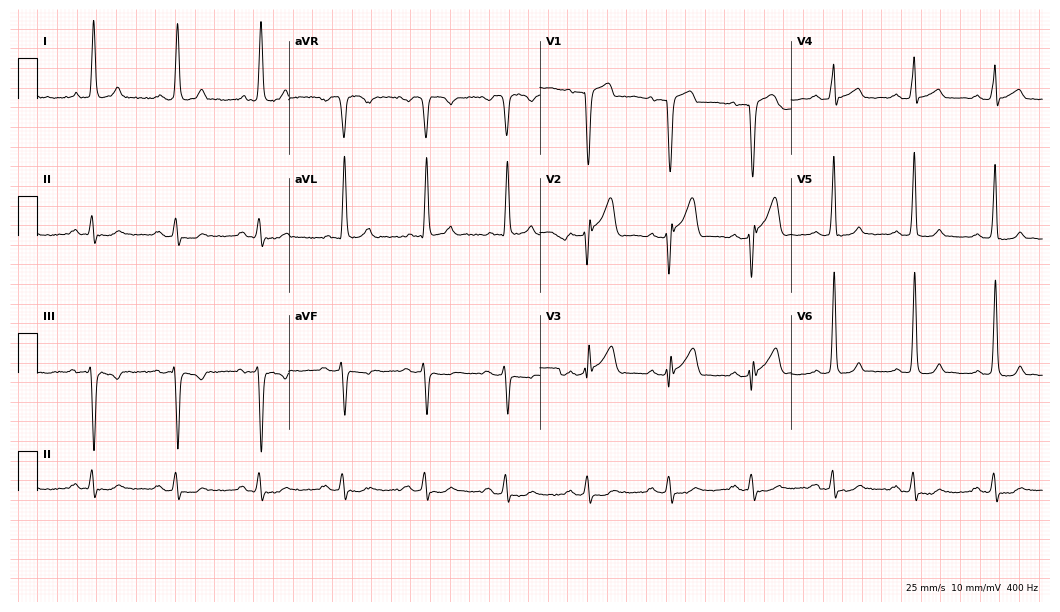
ECG — a 65-year-old female patient. Screened for six findings — first-degree AV block, right bundle branch block, left bundle branch block, sinus bradycardia, atrial fibrillation, sinus tachycardia — none is recorded. Findings outside these six are not listed.